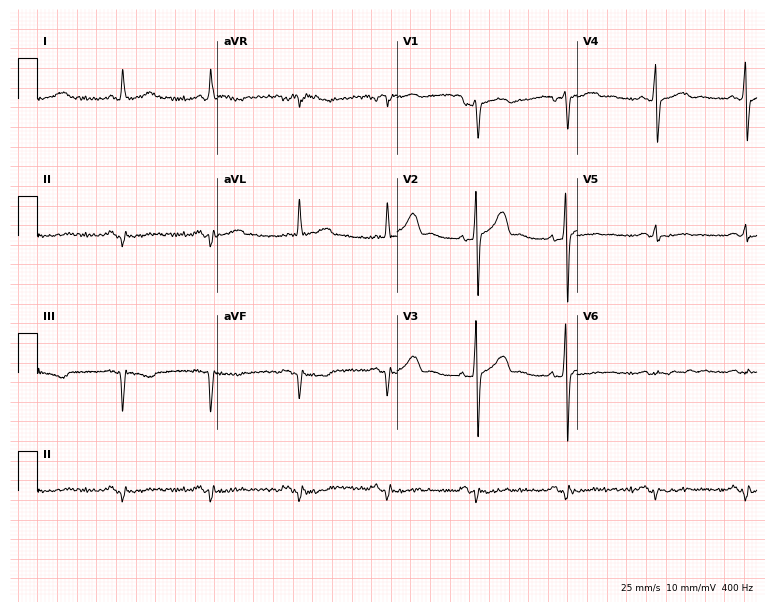
ECG (7.3-second recording at 400 Hz) — a male patient, 62 years old. Screened for six findings — first-degree AV block, right bundle branch block, left bundle branch block, sinus bradycardia, atrial fibrillation, sinus tachycardia — none is recorded.